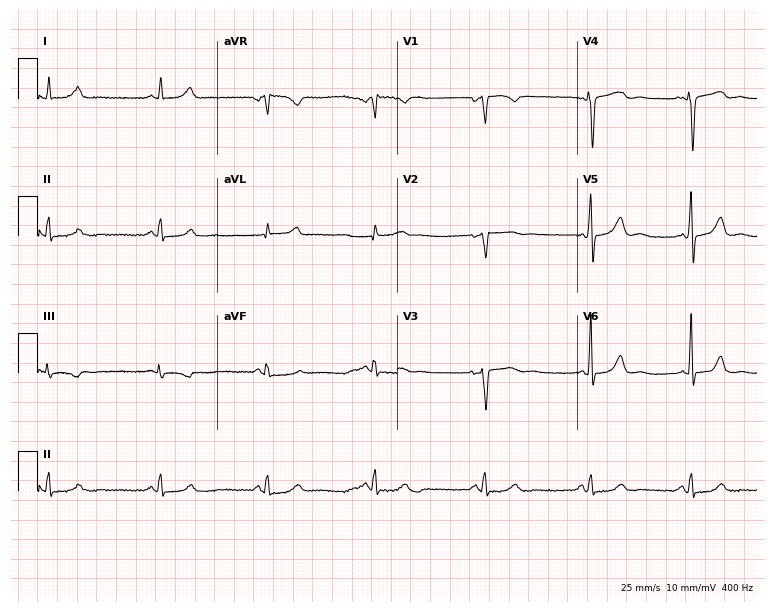
Standard 12-lead ECG recorded from a female, 66 years old (7.3-second recording at 400 Hz). None of these six findings is recorded: first-degree AV block, right bundle branch block (RBBB), left bundle branch block (LBBB), sinus bradycardia, atrial fibrillation (AF), sinus tachycardia.